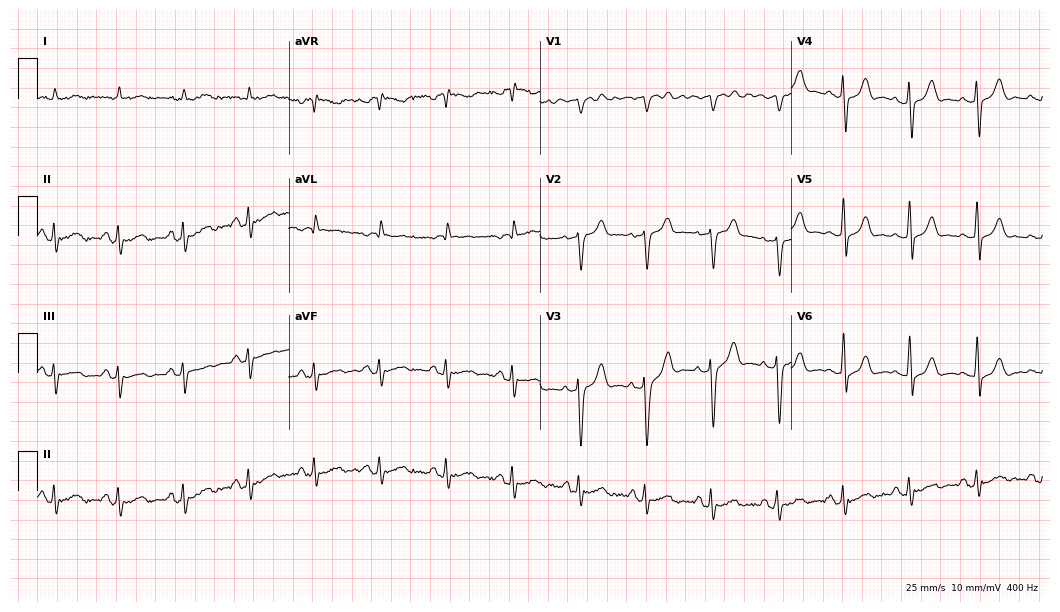
Resting 12-lead electrocardiogram (10.2-second recording at 400 Hz). Patient: a man, 81 years old. Read as a normal ECG.